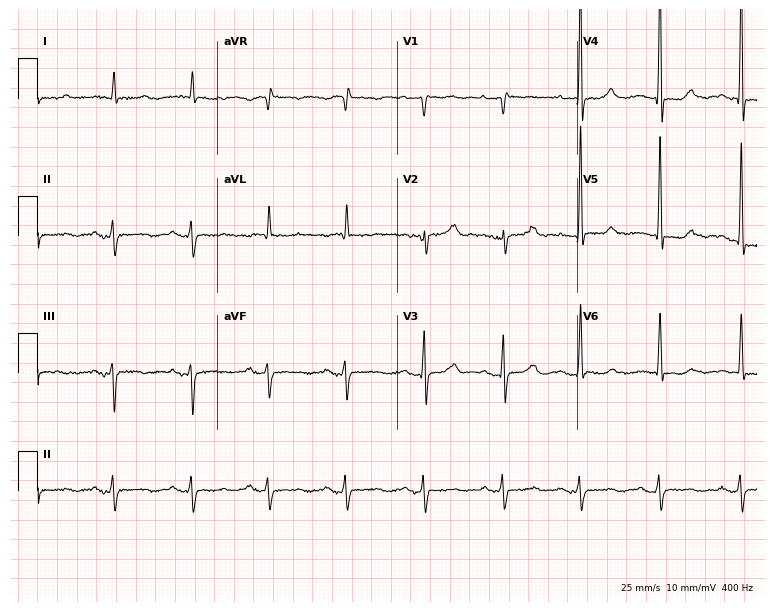
Standard 12-lead ECG recorded from an 82-year-old female (7.3-second recording at 400 Hz). Read as a normal ECG.